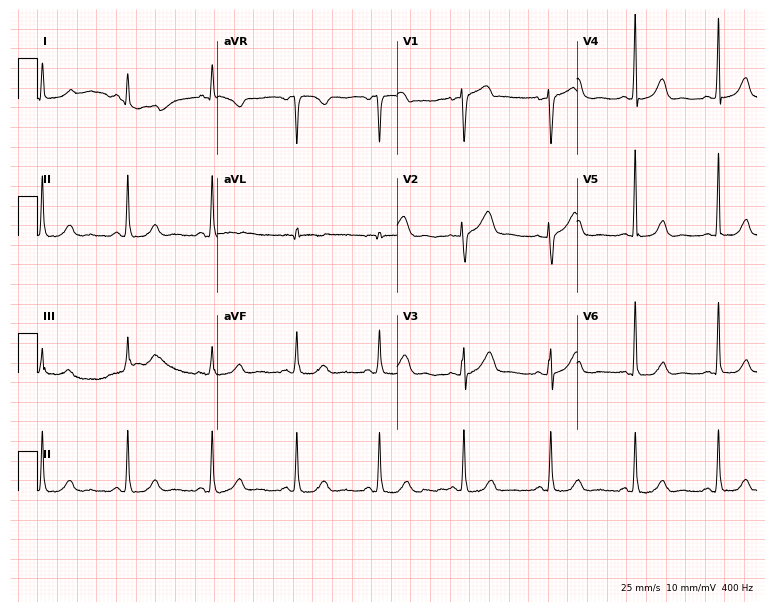
Standard 12-lead ECG recorded from a female, 53 years old. Read as a normal ECG.